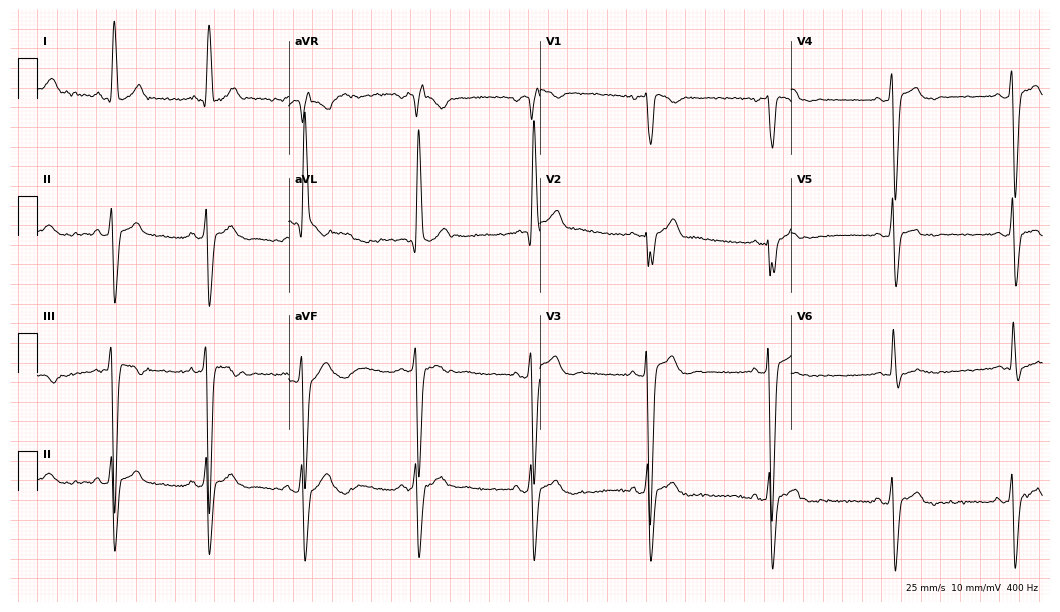
Standard 12-lead ECG recorded from a male, 23 years old (10.2-second recording at 400 Hz). None of these six findings is recorded: first-degree AV block, right bundle branch block, left bundle branch block, sinus bradycardia, atrial fibrillation, sinus tachycardia.